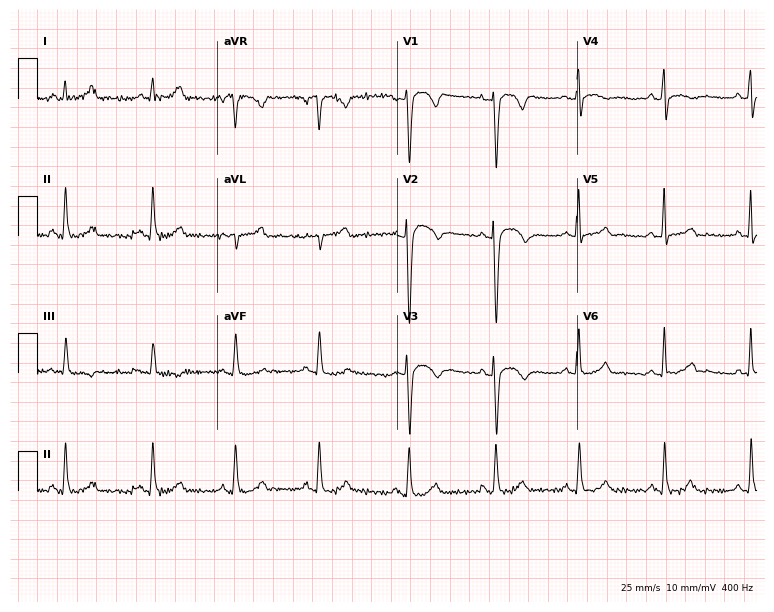
Electrocardiogram, a 41-year-old male. Of the six screened findings (first-degree AV block, right bundle branch block, left bundle branch block, sinus bradycardia, atrial fibrillation, sinus tachycardia), none is recorded. Other findings, if any, are not listed.